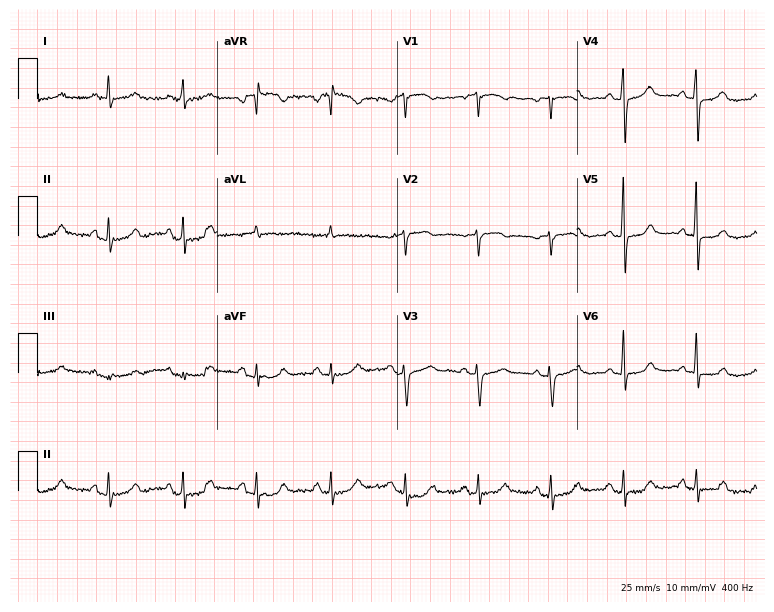
ECG — a 70-year-old female patient. Screened for six findings — first-degree AV block, right bundle branch block, left bundle branch block, sinus bradycardia, atrial fibrillation, sinus tachycardia — none is recorded. Other findings, if any, are not listed.